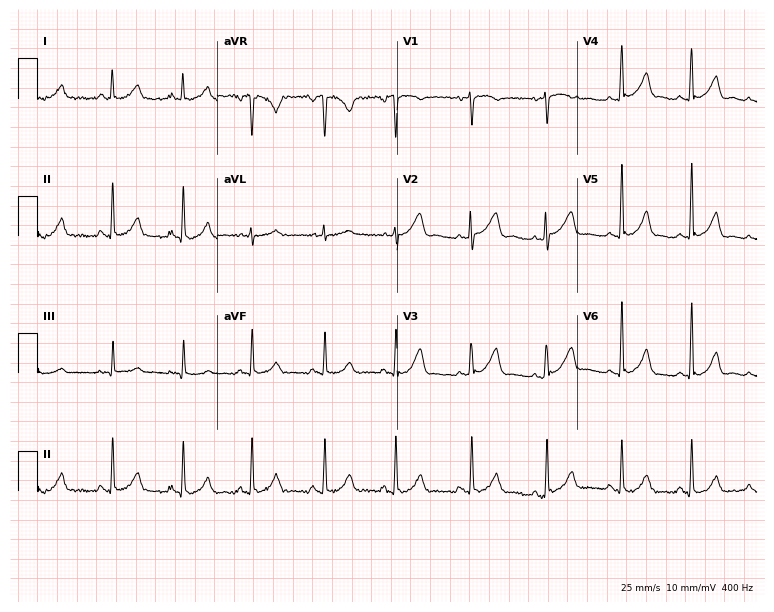
ECG — a 28-year-old woman. Screened for six findings — first-degree AV block, right bundle branch block (RBBB), left bundle branch block (LBBB), sinus bradycardia, atrial fibrillation (AF), sinus tachycardia — none is recorded. Only these six findings were labelled.